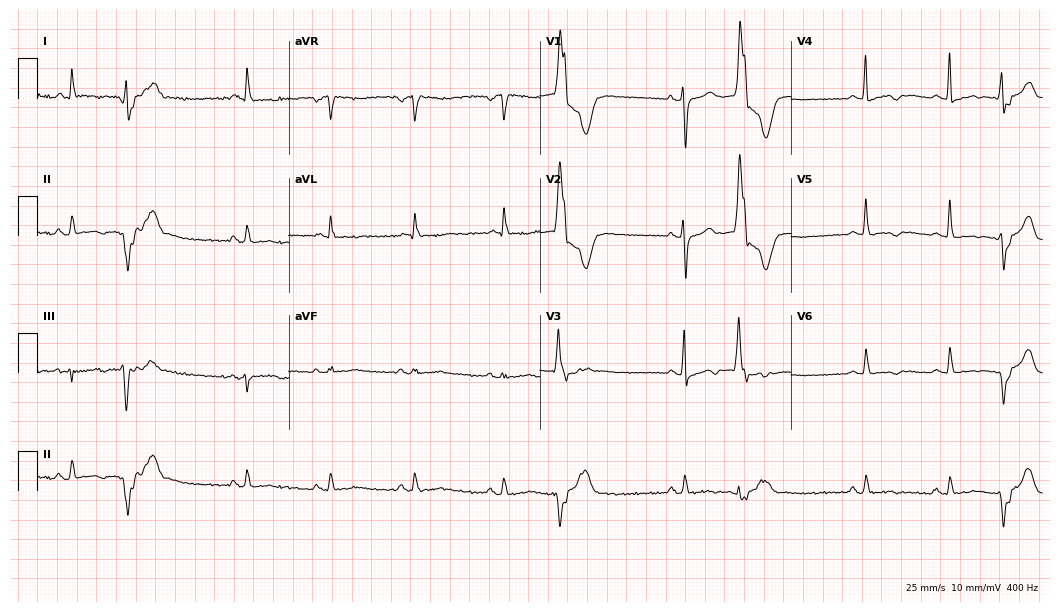
Electrocardiogram, a female patient, 69 years old. Of the six screened findings (first-degree AV block, right bundle branch block, left bundle branch block, sinus bradycardia, atrial fibrillation, sinus tachycardia), none is recorded.